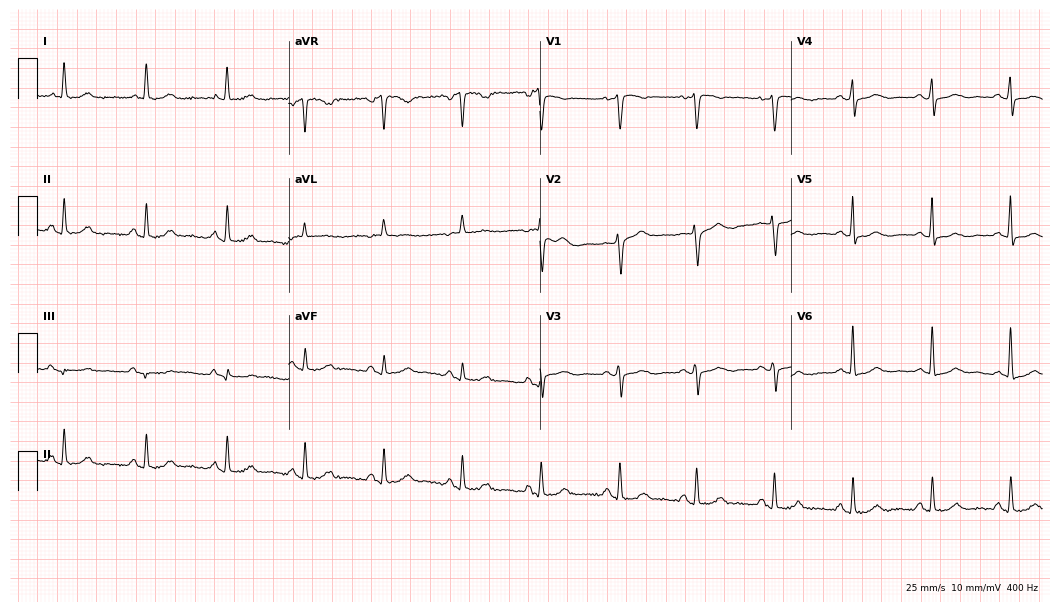
12-lead ECG from a 60-year-old female patient. Labelled as a normal ECG.